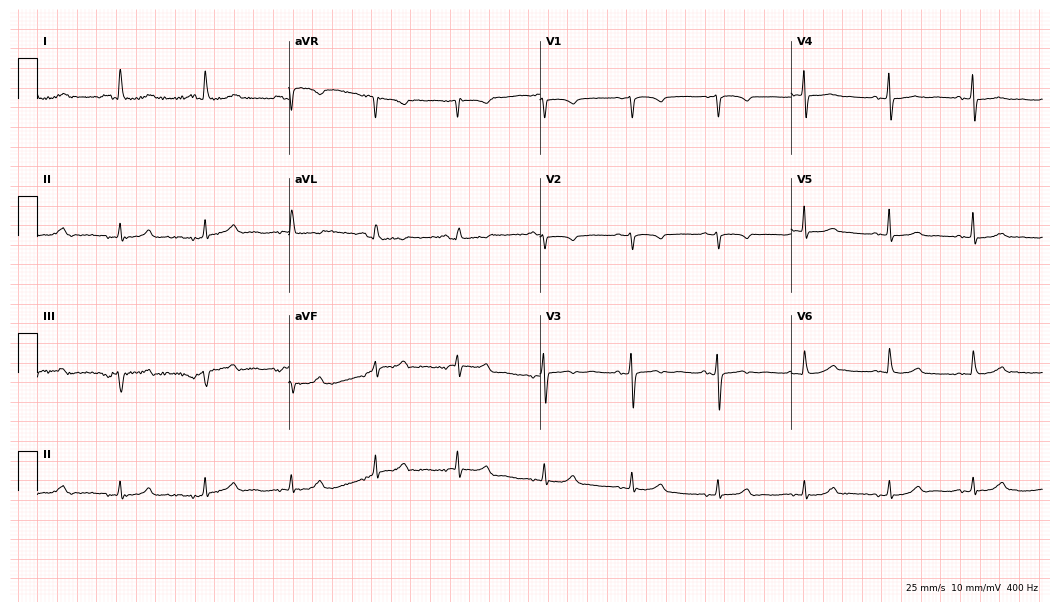
12-lead ECG from a 65-year-old female (10.2-second recording at 400 Hz). Recorded interpretation: within normal limits.